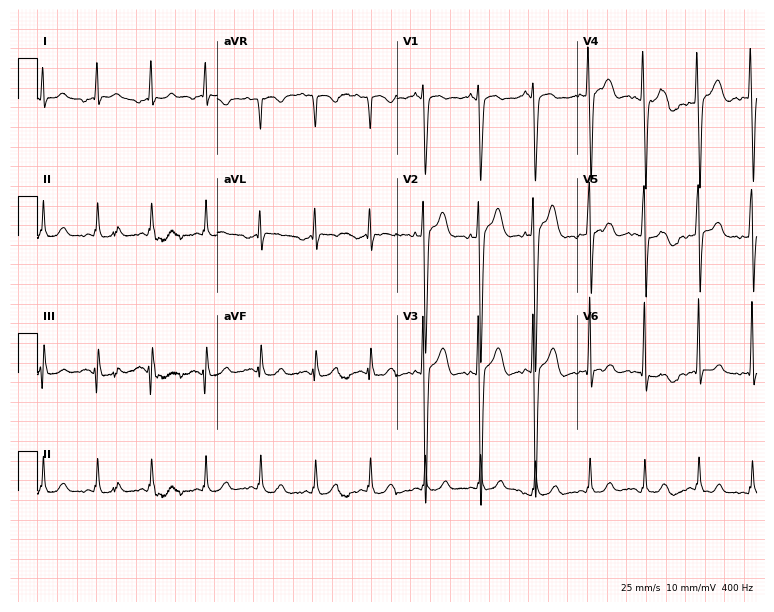
Electrocardiogram (7.3-second recording at 400 Hz), a male, 29 years old. Of the six screened findings (first-degree AV block, right bundle branch block (RBBB), left bundle branch block (LBBB), sinus bradycardia, atrial fibrillation (AF), sinus tachycardia), none is recorded.